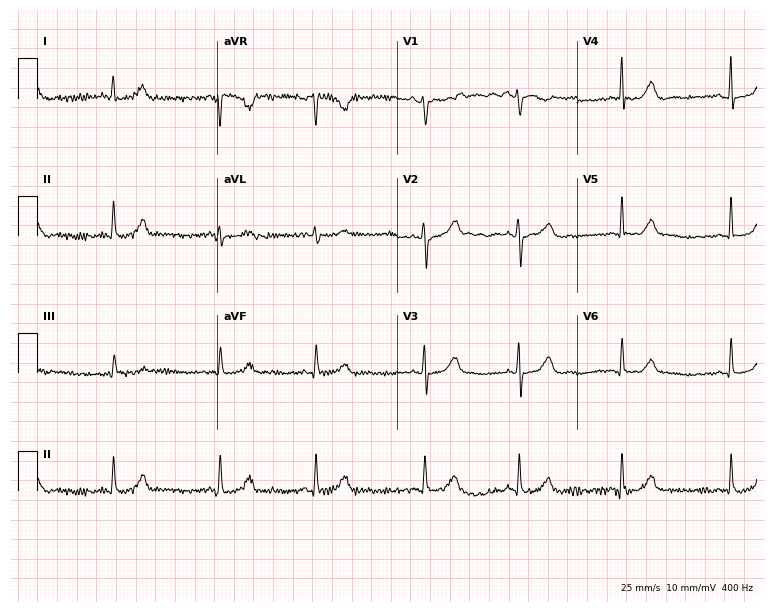
Resting 12-lead electrocardiogram. Patient: a 28-year-old female. Read as a normal ECG.